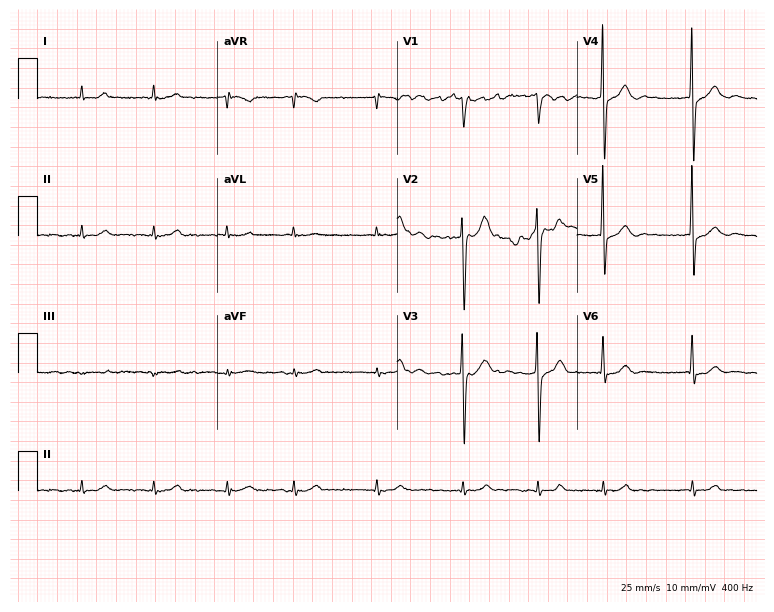
ECG (7.3-second recording at 400 Hz) — an 82-year-old man. Findings include atrial fibrillation.